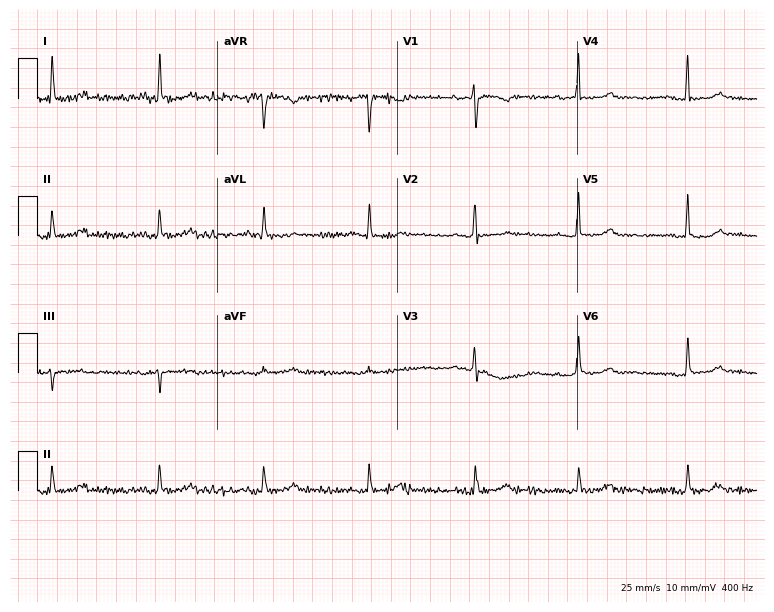
12-lead ECG (7.3-second recording at 400 Hz) from a woman, 56 years old. Screened for six findings — first-degree AV block, right bundle branch block, left bundle branch block, sinus bradycardia, atrial fibrillation, sinus tachycardia — none is recorded. Findings outside these six are not listed.